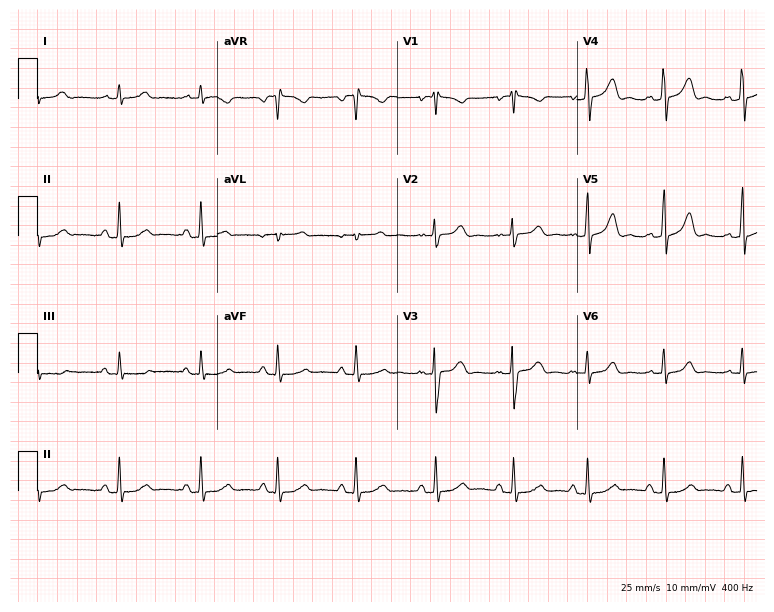
ECG (7.3-second recording at 400 Hz) — a female, 19 years old. Screened for six findings — first-degree AV block, right bundle branch block, left bundle branch block, sinus bradycardia, atrial fibrillation, sinus tachycardia — none is recorded. Other findings, if any, are not listed.